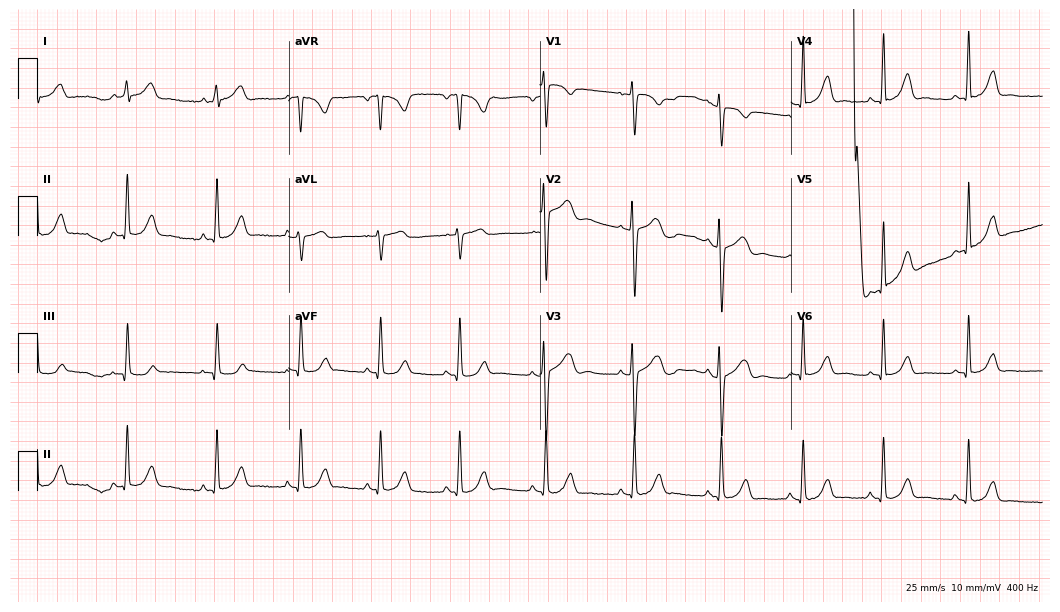
Electrocardiogram, a female patient, 27 years old. Of the six screened findings (first-degree AV block, right bundle branch block, left bundle branch block, sinus bradycardia, atrial fibrillation, sinus tachycardia), none is recorded.